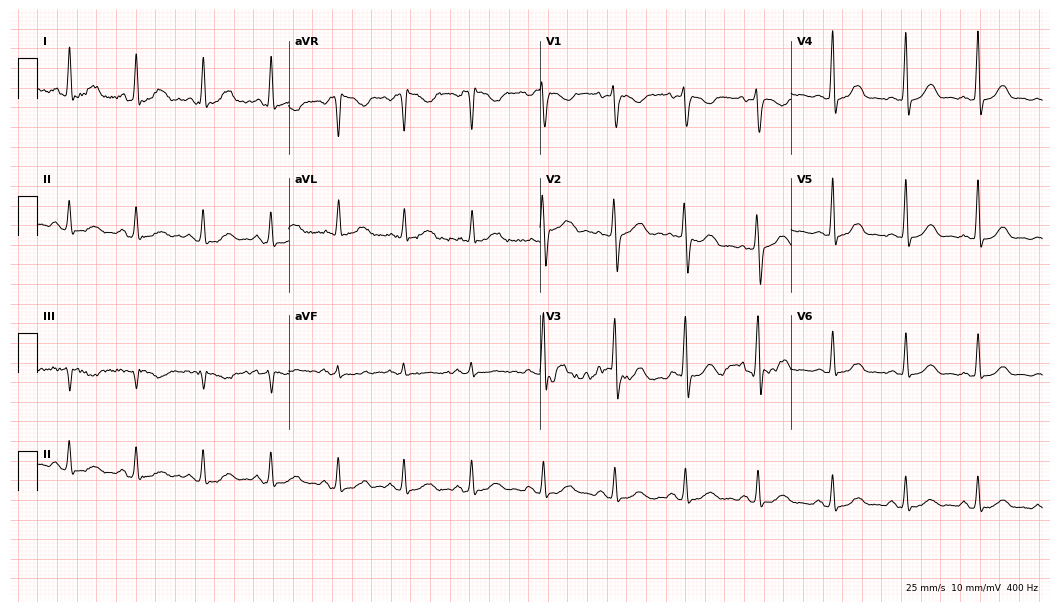
Standard 12-lead ECG recorded from a woman, 42 years old (10.2-second recording at 400 Hz). None of these six findings is recorded: first-degree AV block, right bundle branch block (RBBB), left bundle branch block (LBBB), sinus bradycardia, atrial fibrillation (AF), sinus tachycardia. Other findings, if any, are not listed.